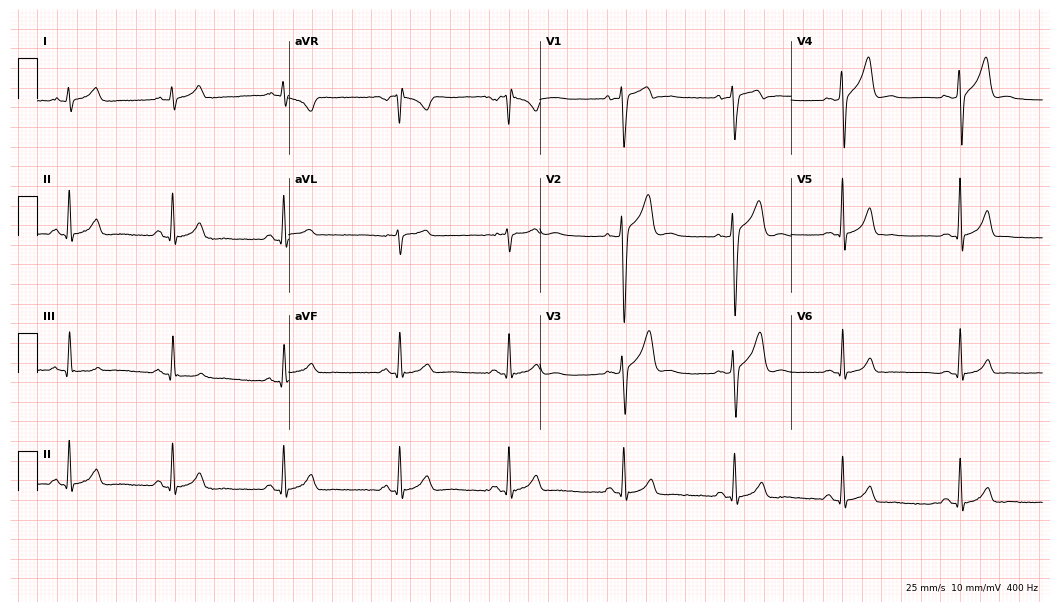
Standard 12-lead ECG recorded from a man, 28 years old. Read as a normal ECG.